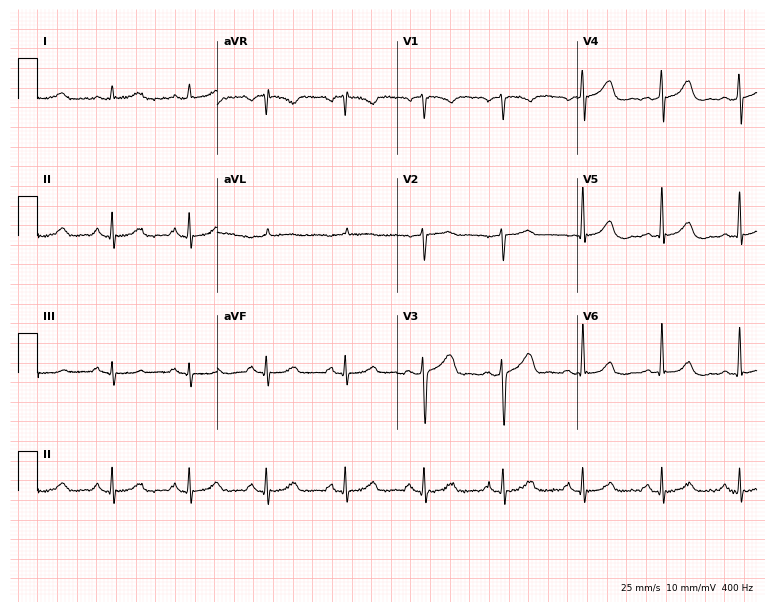
Resting 12-lead electrocardiogram (7.3-second recording at 400 Hz). Patient: a male, 53 years old. Read as a normal ECG.